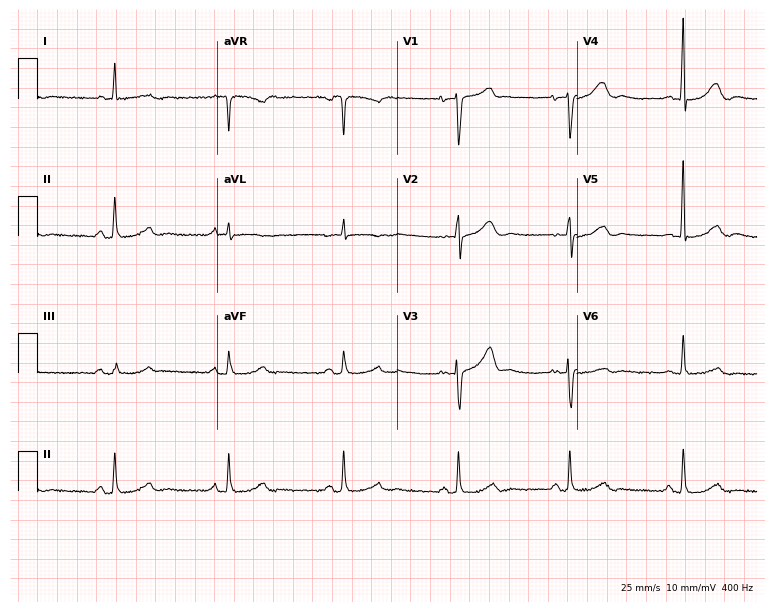
Electrocardiogram (7.3-second recording at 400 Hz), a man, 72 years old. Overall reading on record: normal ECG.